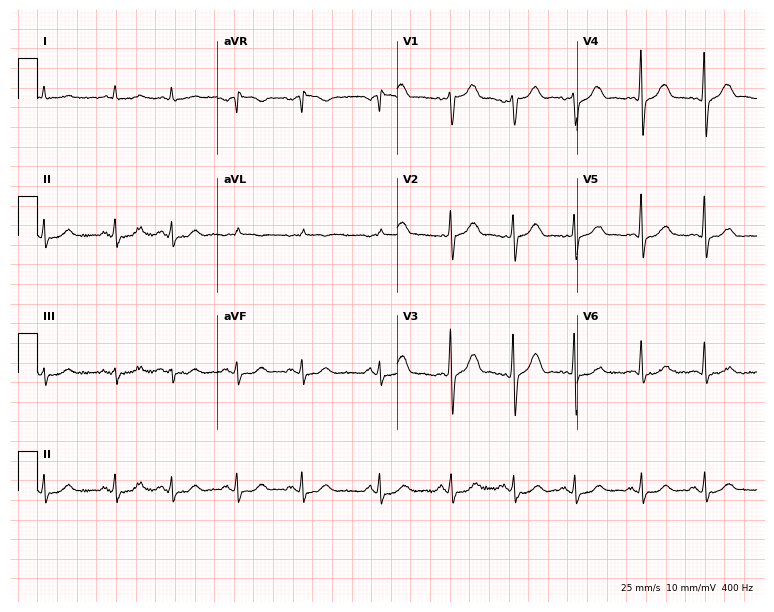
ECG — an 85-year-old male patient. Screened for six findings — first-degree AV block, right bundle branch block (RBBB), left bundle branch block (LBBB), sinus bradycardia, atrial fibrillation (AF), sinus tachycardia — none is recorded.